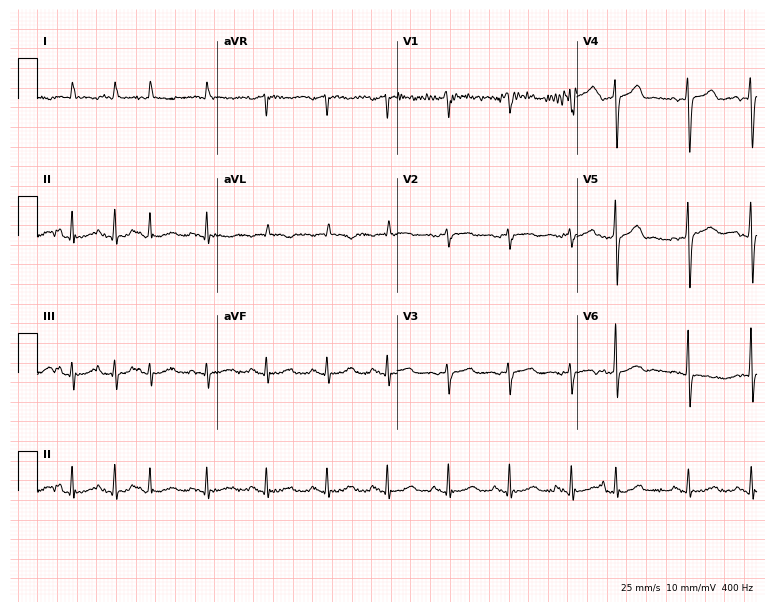
12-lead ECG from a 64-year-old woman. No first-degree AV block, right bundle branch block (RBBB), left bundle branch block (LBBB), sinus bradycardia, atrial fibrillation (AF) or sinus tachycardia recorded for this tracing. Other findings, if any, are not listed.